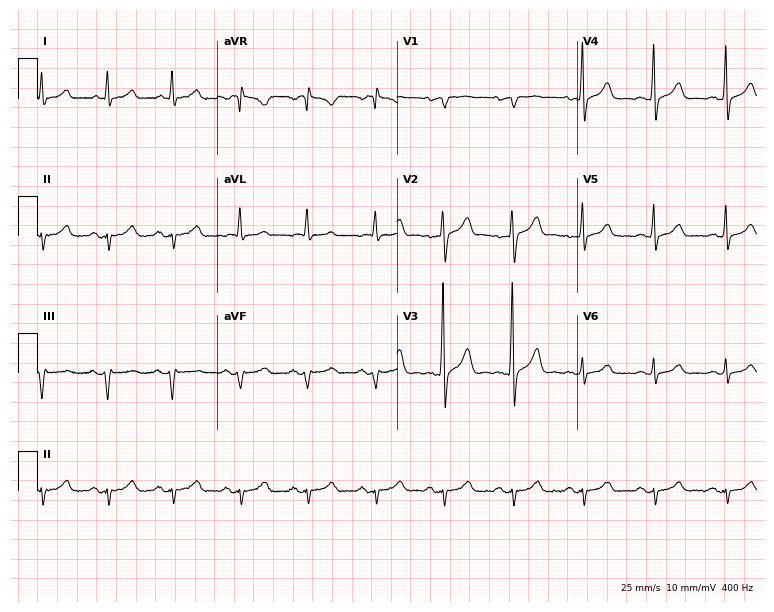
Standard 12-lead ECG recorded from a male, 49 years old (7.3-second recording at 400 Hz). None of these six findings is recorded: first-degree AV block, right bundle branch block, left bundle branch block, sinus bradycardia, atrial fibrillation, sinus tachycardia. Other findings, if any, are not listed.